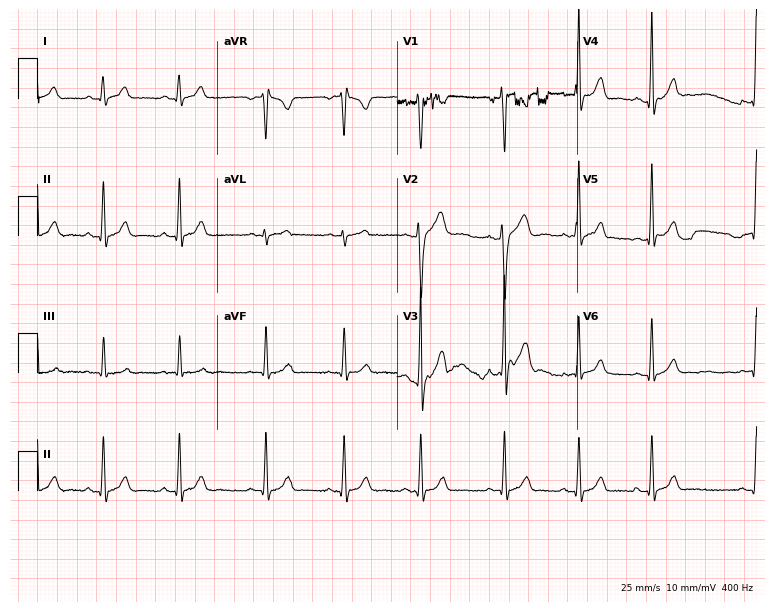
12-lead ECG (7.3-second recording at 400 Hz) from a 17-year-old male. Labelled as a normal ECG.